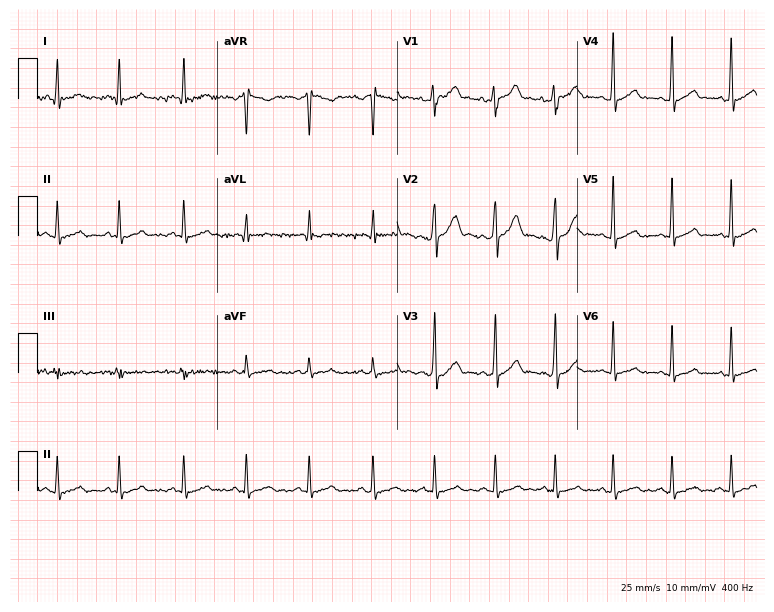
12-lead ECG (7.3-second recording at 400 Hz) from a male, 24 years old. Screened for six findings — first-degree AV block, right bundle branch block, left bundle branch block, sinus bradycardia, atrial fibrillation, sinus tachycardia — none is recorded. Findings outside these six are not listed.